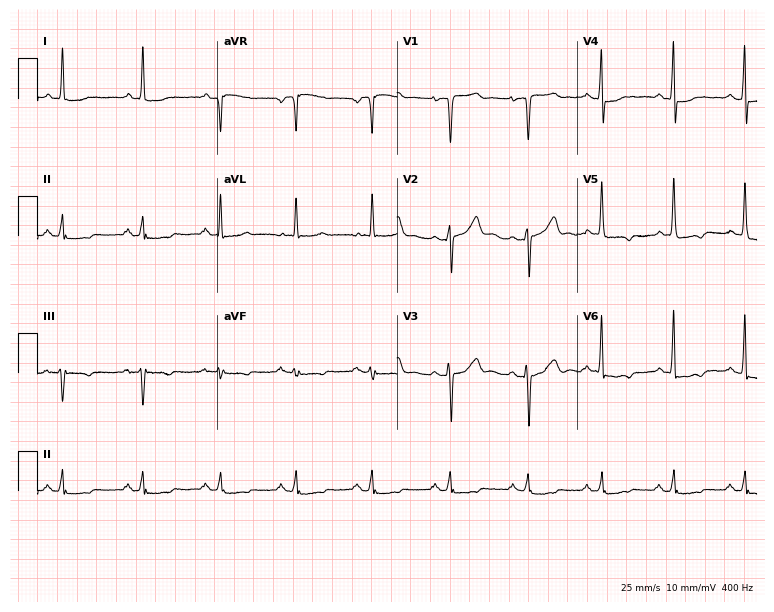
Electrocardiogram (7.3-second recording at 400 Hz), a female, 65 years old. Of the six screened findings (first-degree AV block, right bundle branch block, left bundle branch block, sinus bradycardia, atrial fibrillation, sinus tachycardia), none is recorded.